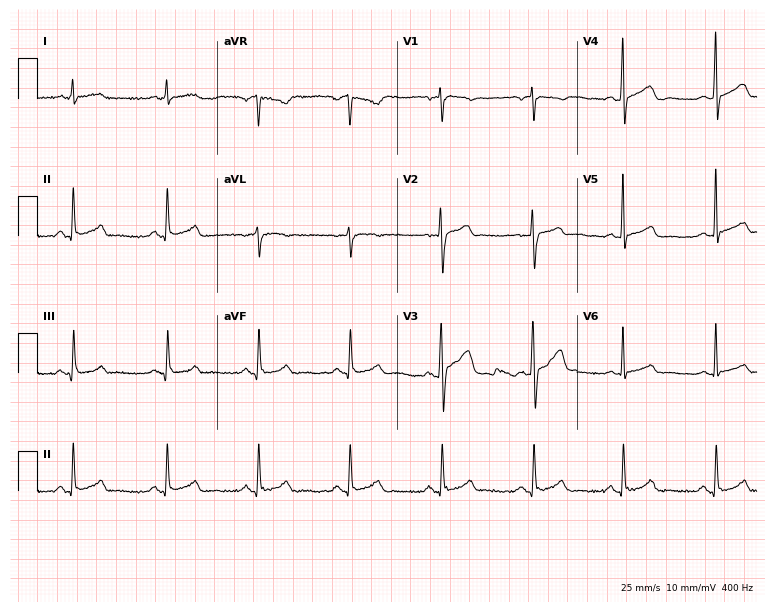
12-lead ECG from a 35-year-old male patient (7.3-second recording at 400 Hz). Recorded interpretation: within normal limits.